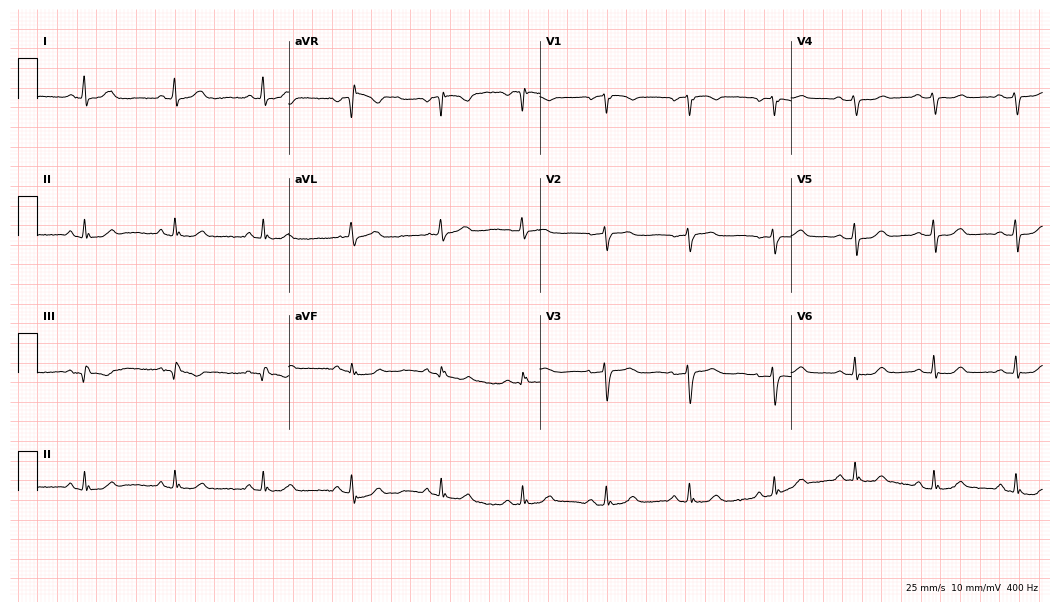
12-lead ECG from a female patient, 68 years old. Screened for six findings — first-degree AV block, right bundle branch block, left bundle branch block, sinus bradycardia, atrial fibrillation, sinus tachycardia — none is recorded.